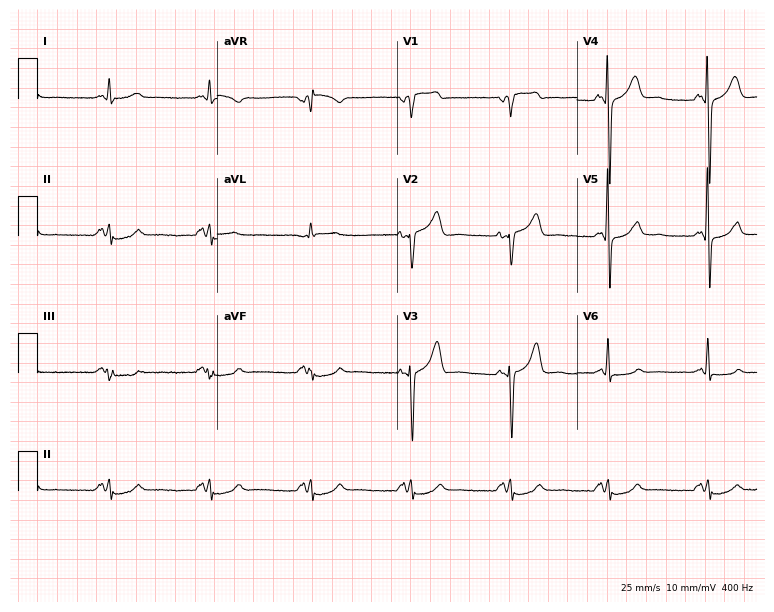
12-lead ECG from a male patient, 61 years old. Screened for six findings — first-degree AV block, right bundle branch block, left bundle branch block, sinus bradycardia, atrial fibrillation, sinus tachycardia — none is recorded.